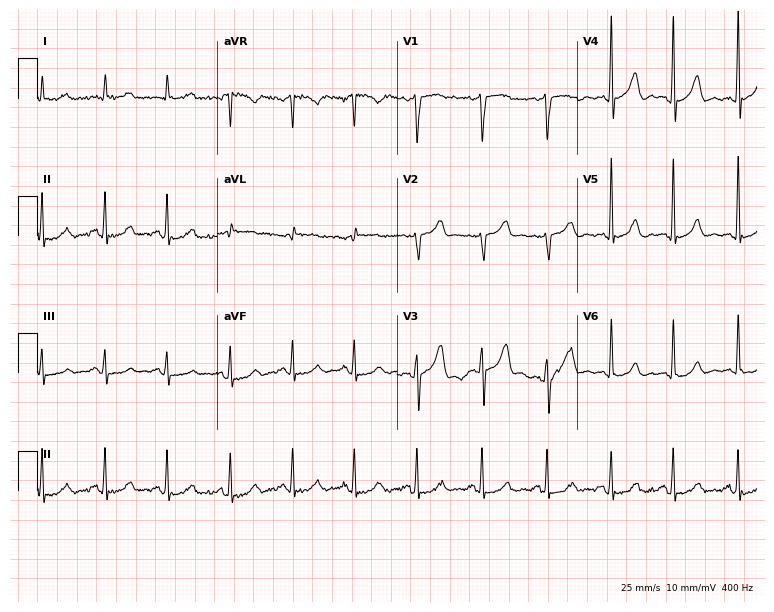
ECG (7.3-second recording at 400 Hz) — a male, 63 years old. Labelled as a normal ECG.